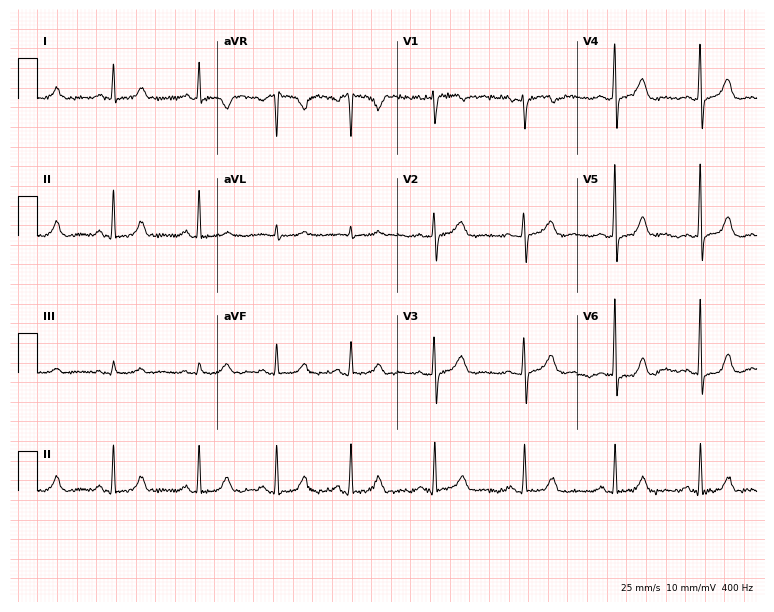
ECG — a female patient, 31 years old. Screened for six findings — first-degree AV block, right bundle branch block (RBBB), left bundle branch block (LBBB), sinus bradycardia, atrial fibrillation (AF), sinus tachycardia — none is recorded.